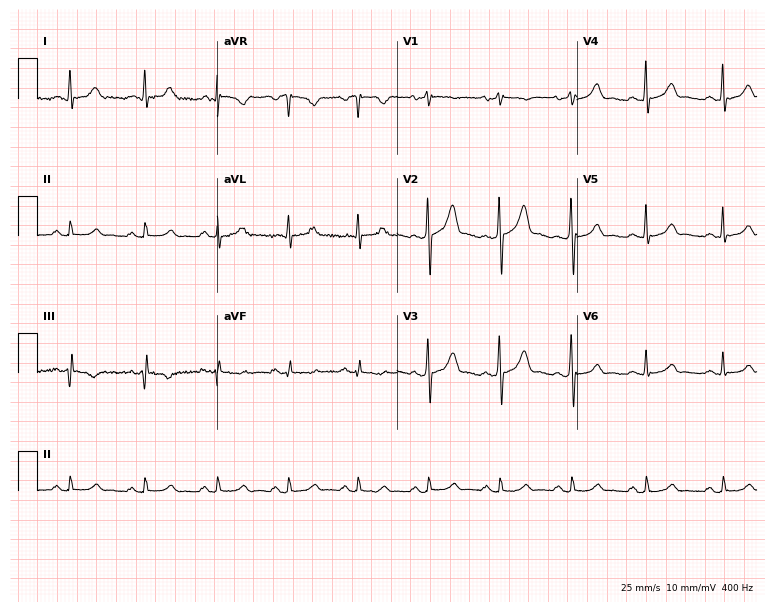
Resting 12-lead electrocardiogram. Patient: a male, 60 years old. Read as a normal ECG.